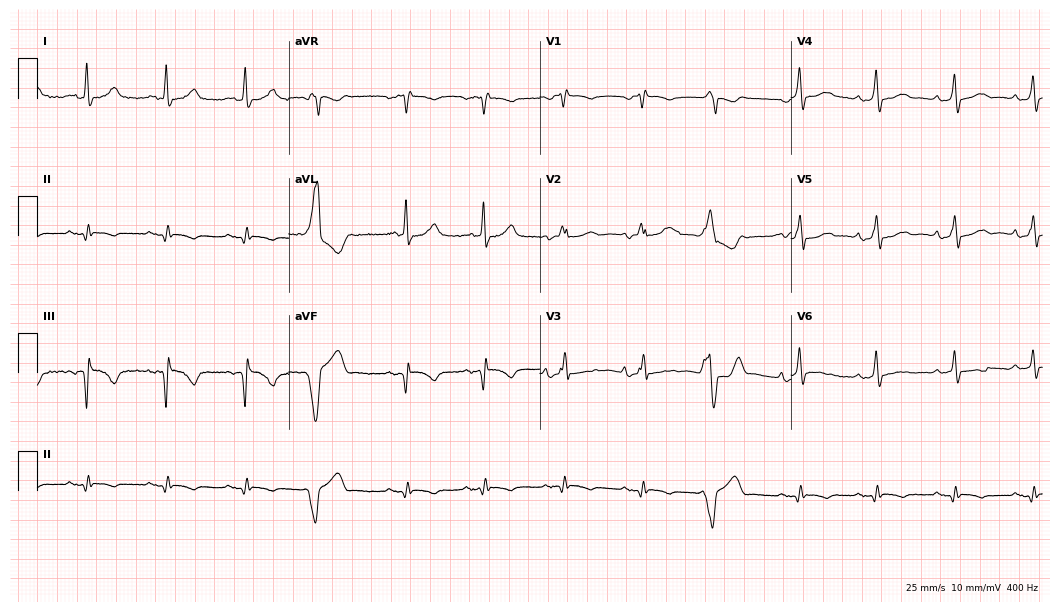
ECG — a male patient, 81 years old. Screened for six findings — first-degree AV block, right bundle branch block, left bundle branch block, sinus bradycardia, atrial fibrillation, sinus tachycardia — none is recorded.